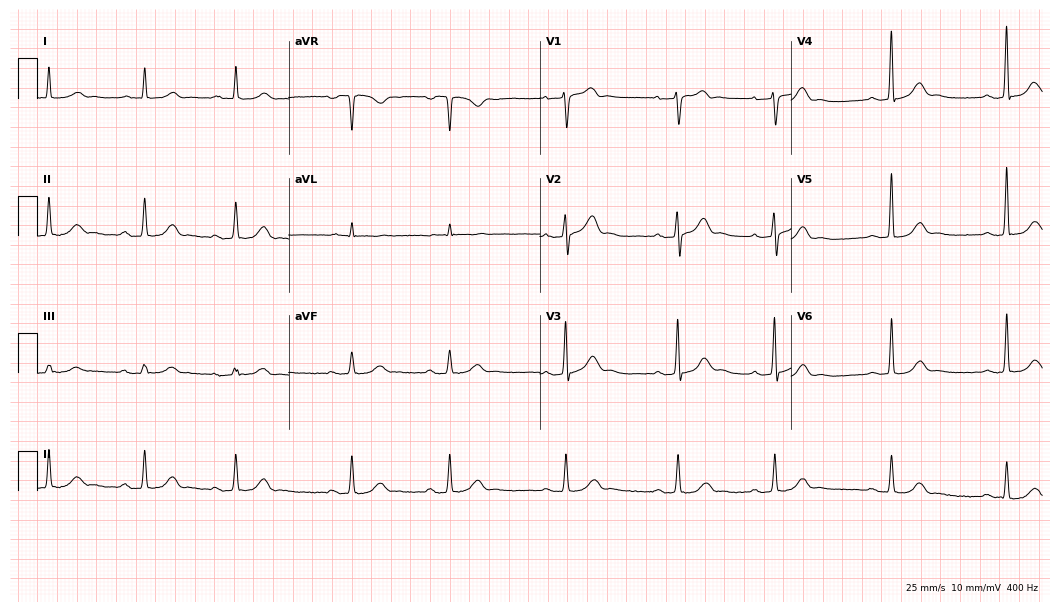
Standard 12-lead ECG recorded from a 70-year-old male patient. Read as a normal ECG.